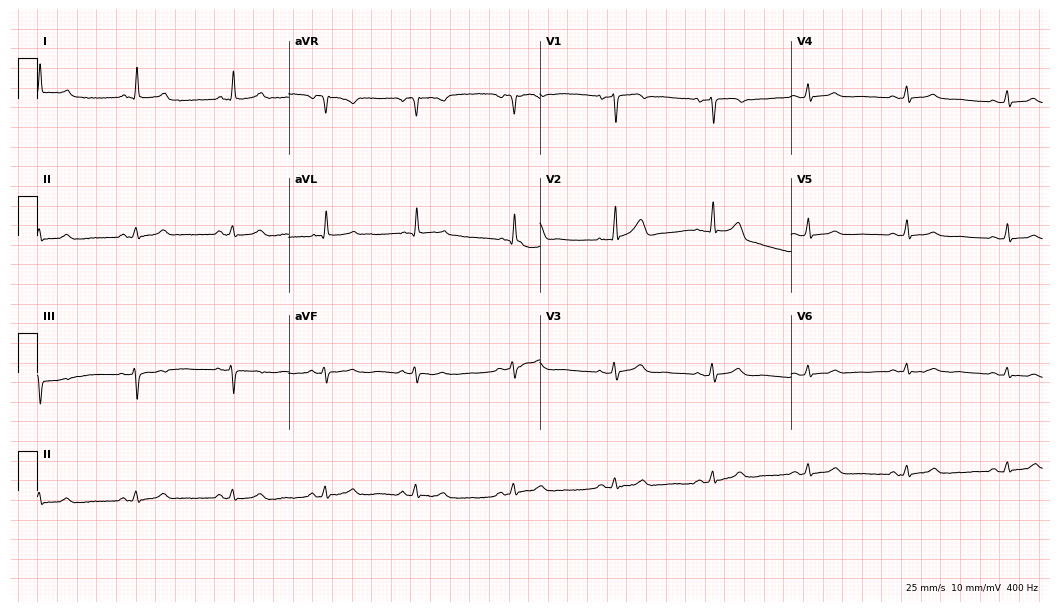
Resting 12-lead electrocardiogram (10.2-second recording at 400 Hz). Patient: a female, 71 years old. Read as a normal ECG.